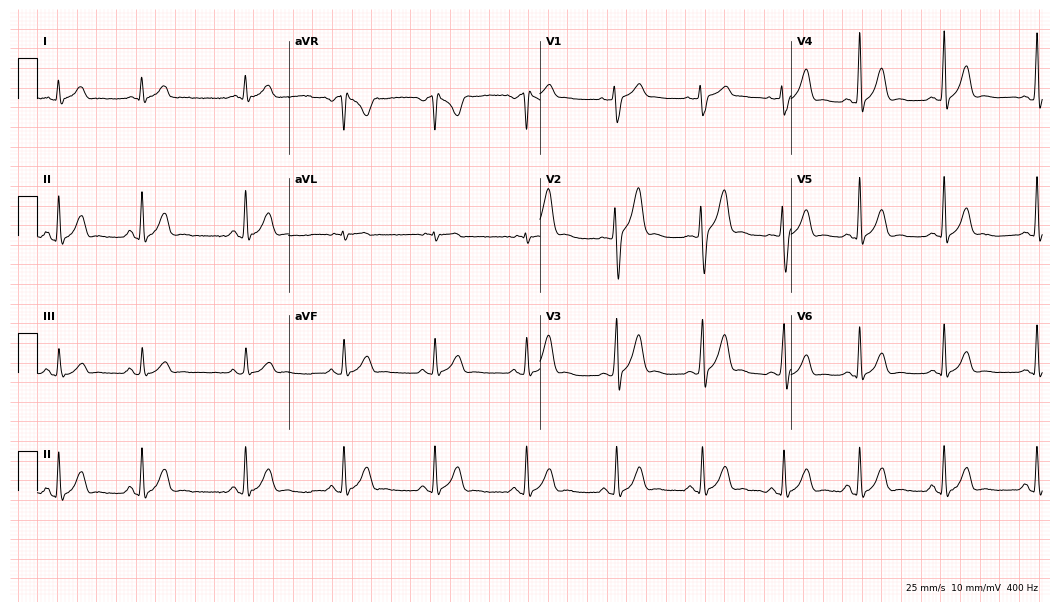
Standard 12-lead ECG recorded from a male, 22 years old (10.2-second recording at 400 Hz). Read as a normal ECG.